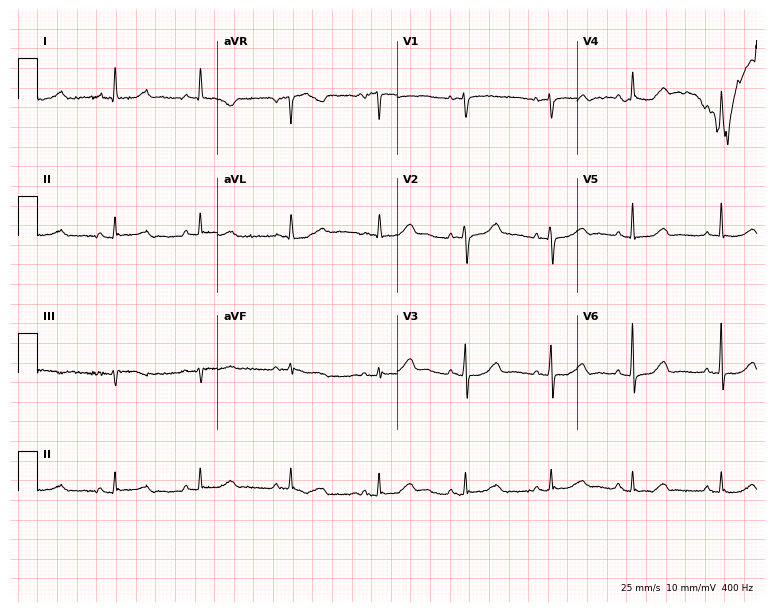
Resting 12-lead electrocardiogram (7.3-second recording at 400 Hz). Patient: an 83-year-old female. Read as a normal ECG.